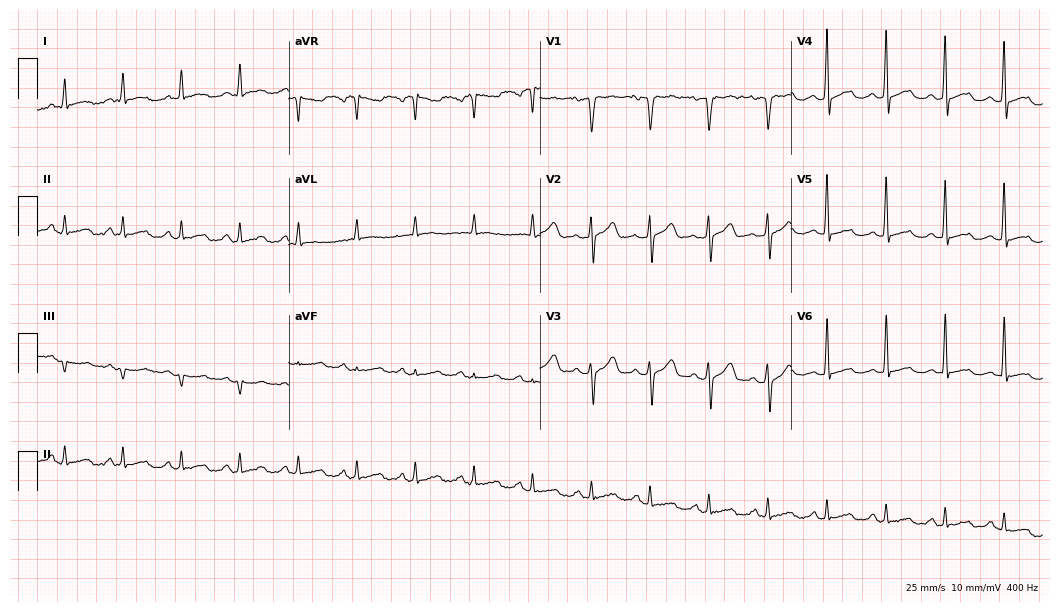
ECG (10.2-second recording at 400 Hz) — a 55-year-old male patient. Findings include sinus tachycardia (a sinus rate of 100 beats per minute or more).